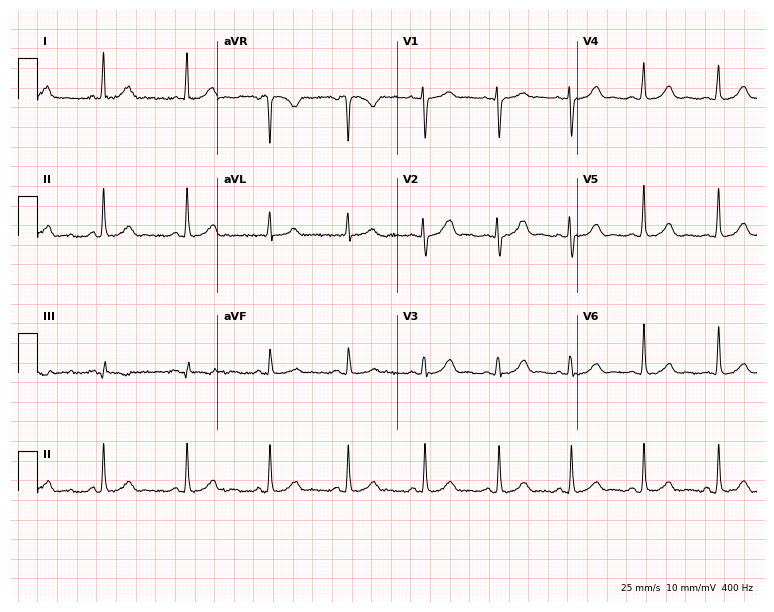
12-lead ECG from a 36-year-old female patient. Recorded interpretation: within normal limits.